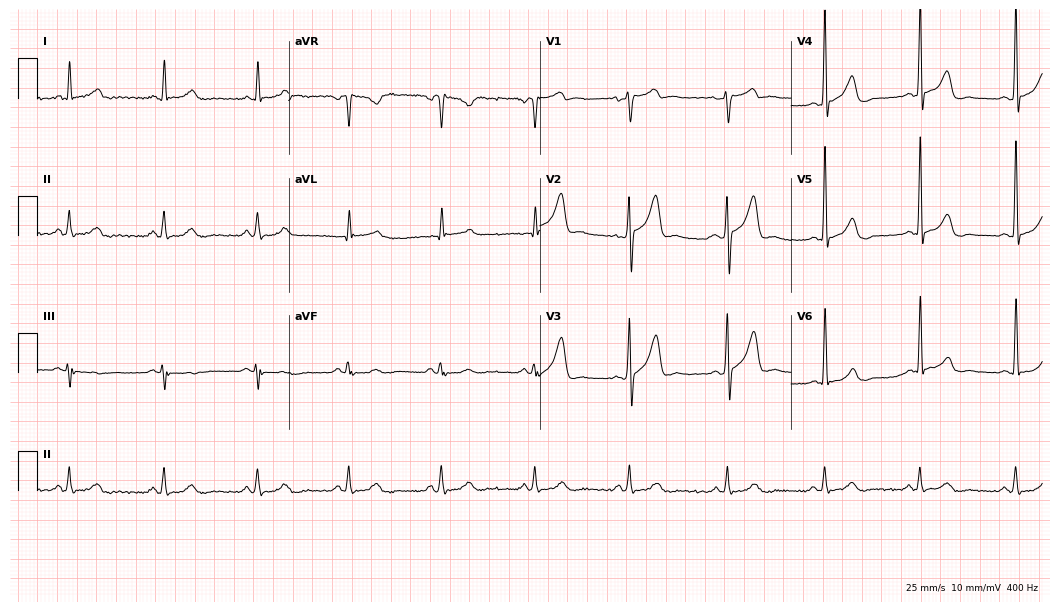
ECG (10.2-second recording at 400 Hz) — a man, 53 years old. Screened for six findings — first-degree AV block, right bundle branch block (RBBB), left bundle branch block (LBBB), sinus bradycardia, atrial fibrillation (AF), sinus tachycardia — none is recorded. Findings outside these six are not listed.